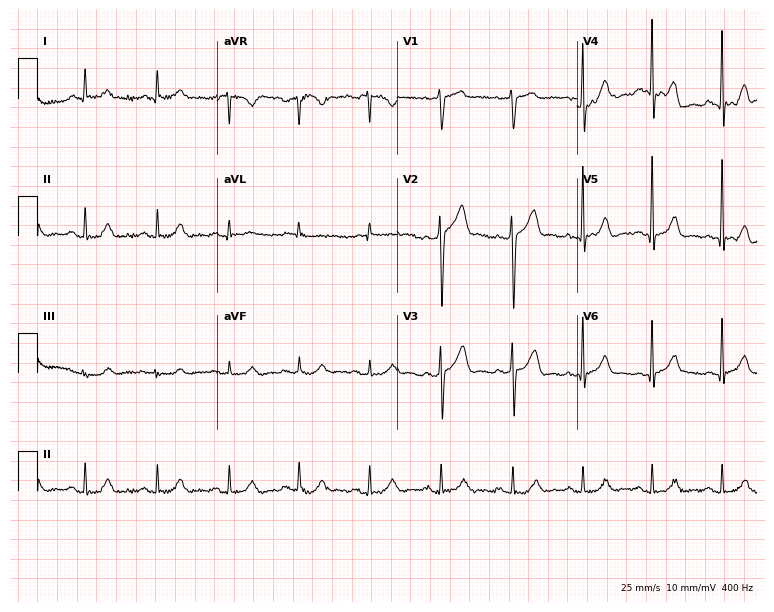
Electrocardiogram (7.3-second recording at 400 Hz), a man, 57 years old. Overall reading on record: normal ECG.